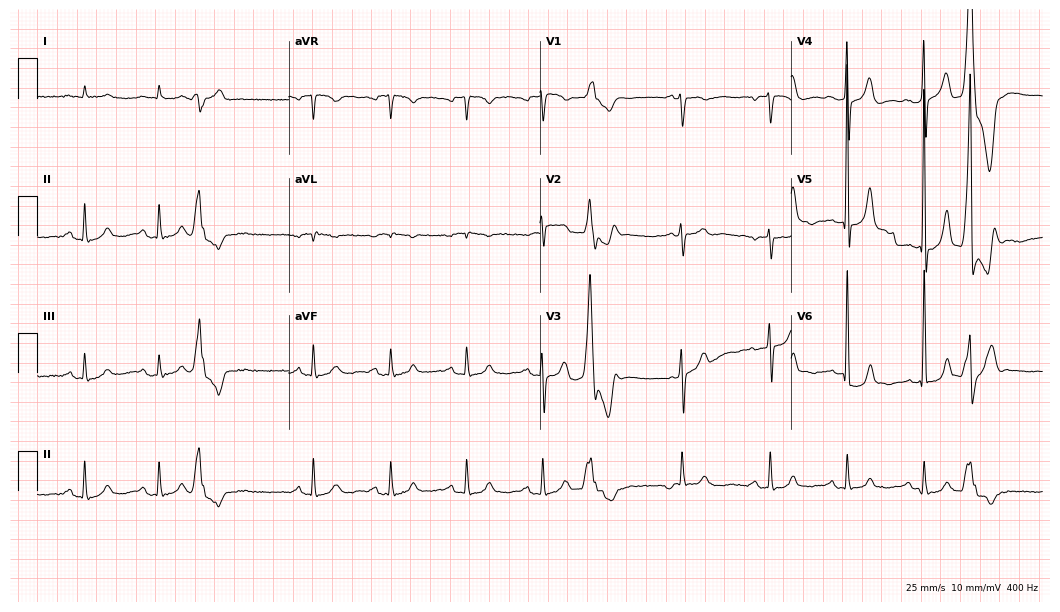
12-lead ECG (10.2-second recording at 400 Hz) from a man, 86 years old. Screened for six findings — first-degree AV block, right bundle branch block, left bundle branch block, sinus bradycardia, atrial fibrillation, sinus tachycardia — none is recorded. Only these six findings were labelled.